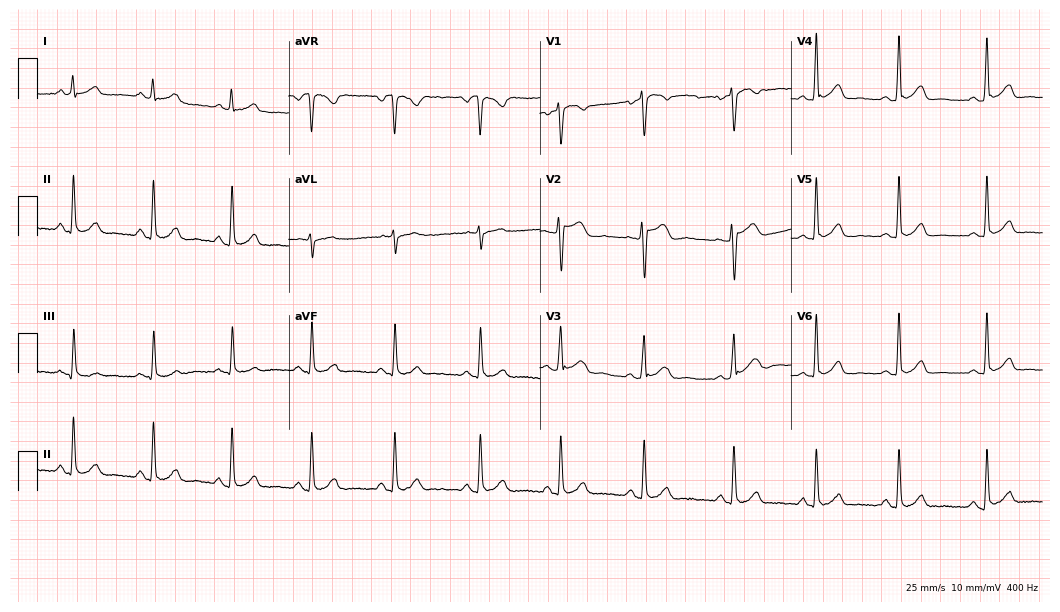
Standard 12-lead ECG recorded from a female, 35 years old (10.2-second recording at 400 Hz). Read as a normal ECG.